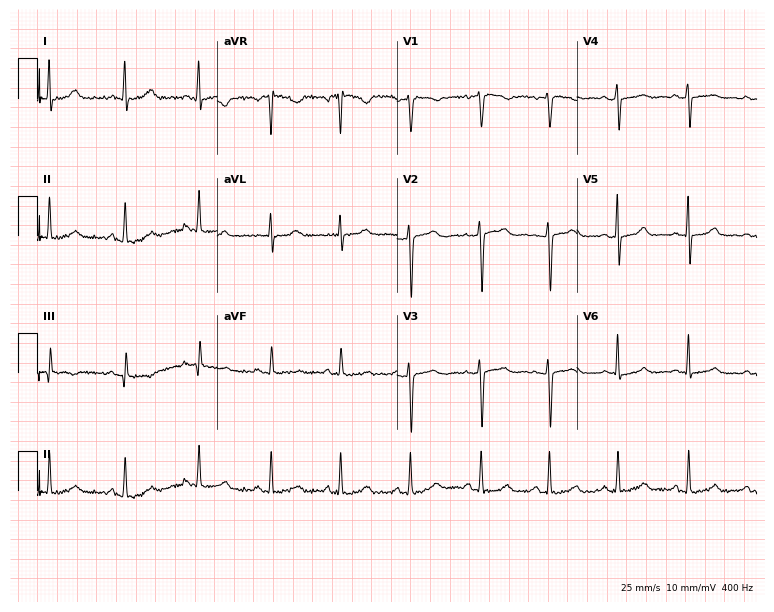
Resting 12-lead electrocardiogram. Patient: a female, 35 years old. Read as a normal ECG.